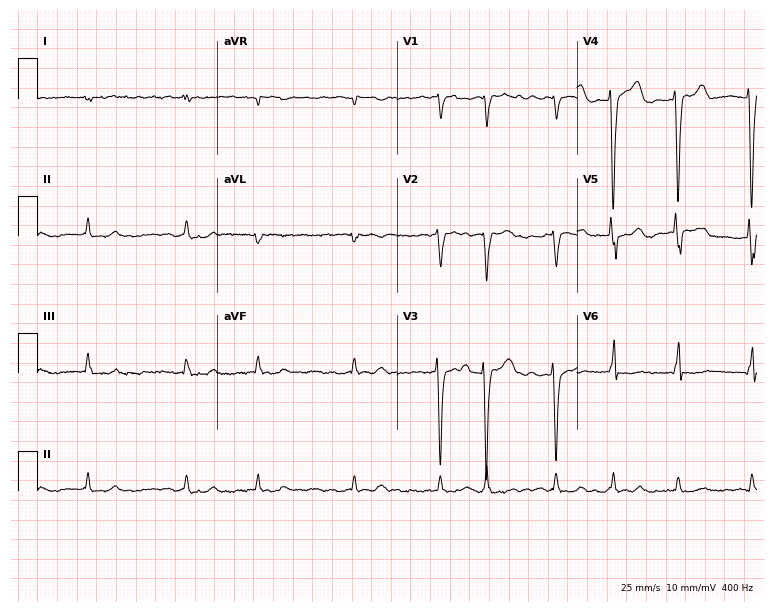
ECG (7.3-second recording at 400 Hz) — a male, 58 years old. Screened for six findings — first-degree AV block, right bundle branch block (RBBB), left bundle branch block (LBBB), sinus bradycardia, atrial fibrillation (AF), sinus tachycardia — none is recorded. Other findings, if any, are not listed.